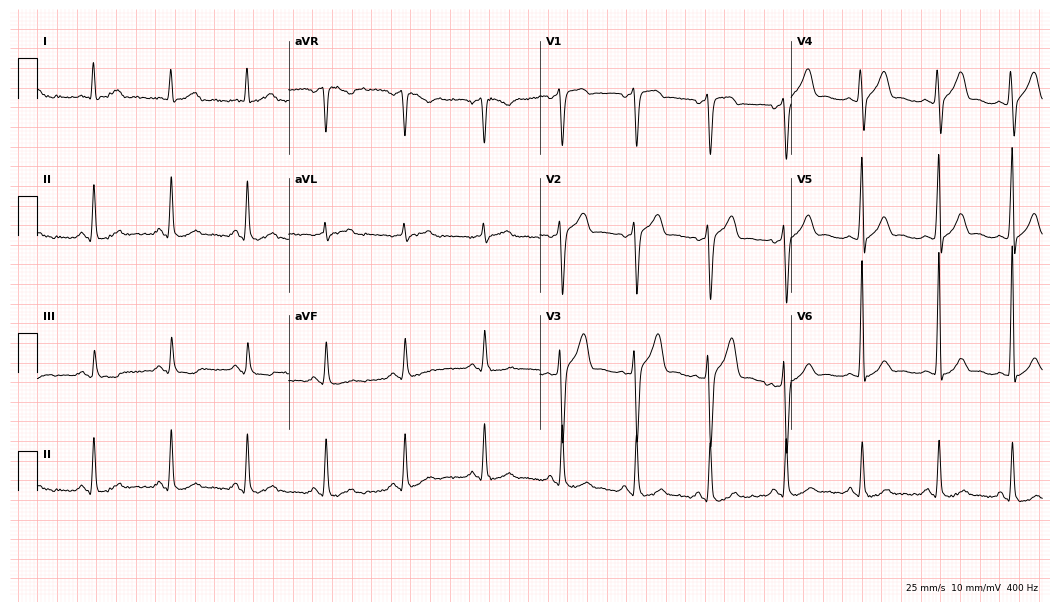
12-lead ECG from a 55-year-old male. Screened for six findings — first-degree AV block, right bundle branch block (RBBB), left bundle branch block (LBBB), sinus bradycardia, atrial fibrillation (AF), sinus tachycardia — none is recorded.